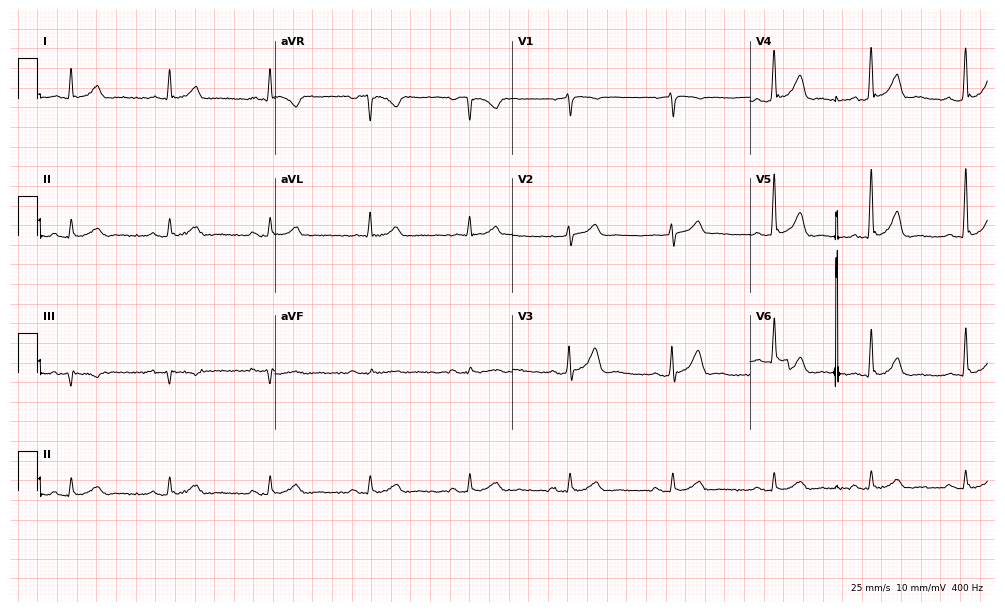
ECG (9.7-second recording at 400 Hz) — a male patient, 55 years old. Labelled as a normal ECG.